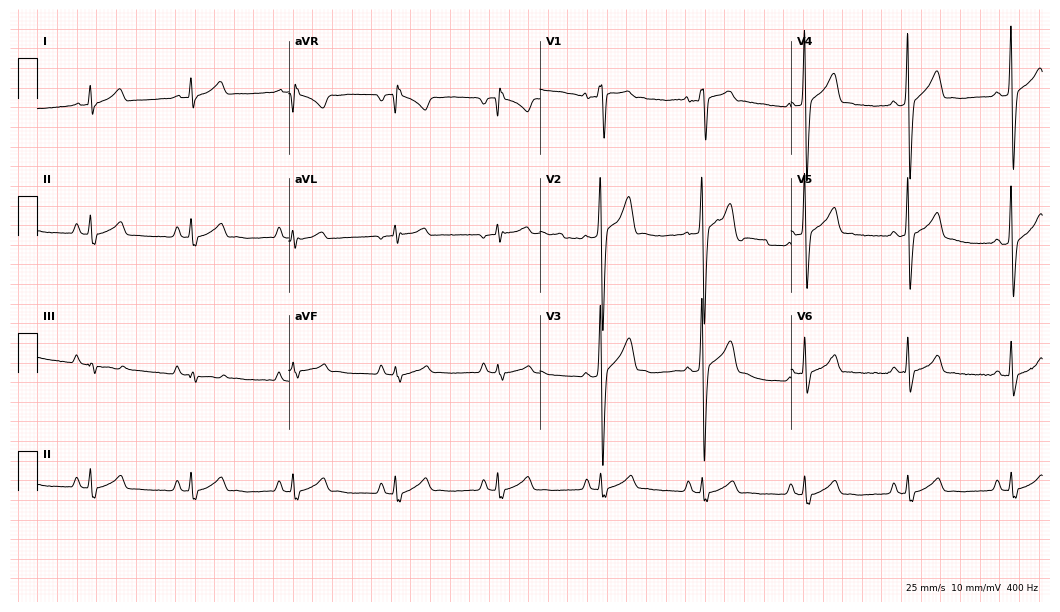
Standard 12-lead ECG recorded from a man, 26 years old. Read as a normal ECG.